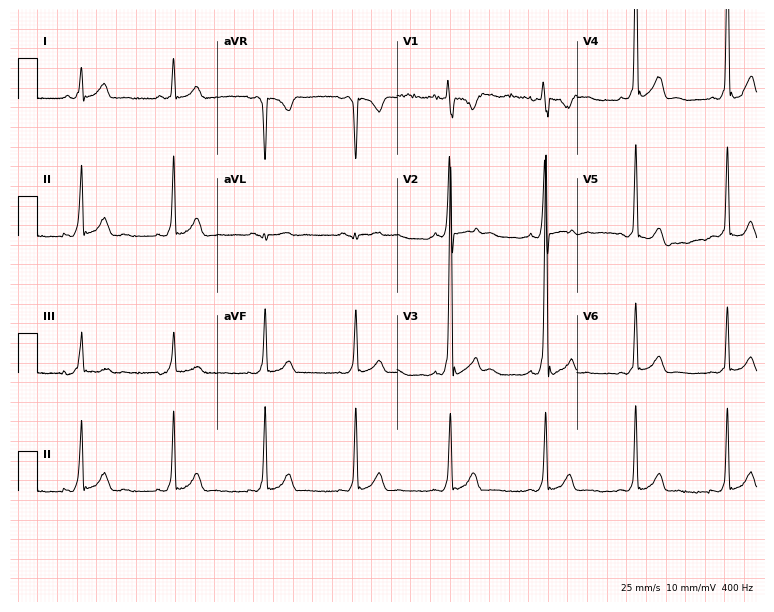
12-lead ECG (7.3-second recording at 400 Hz) from a 40-year-old male patient. Screened for six findings — first-degree AV block, right bundle branch block, left bundle branch block, sinus bradycardia, atrial fibrillation, sinus tachycardia — none is recorded. Findings outside these six are not listed.